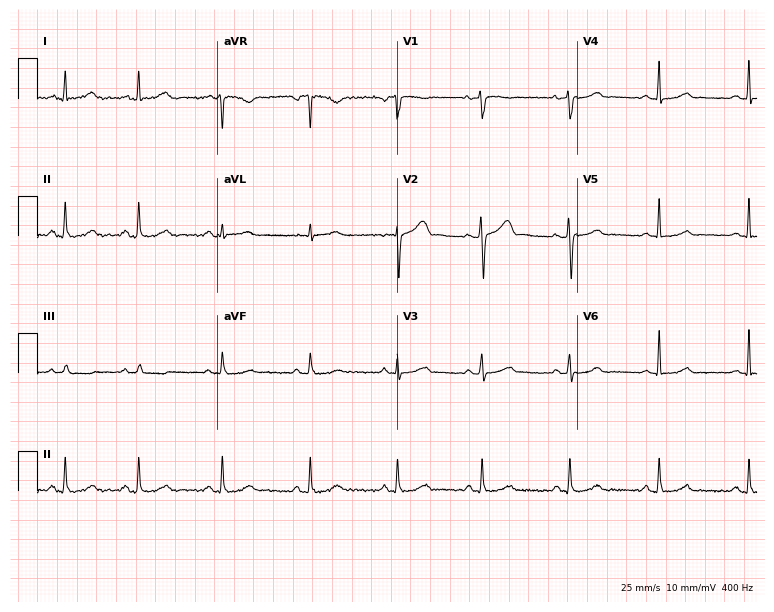
ECG — a woman, 28 years old. Labelled as a normal ECG.